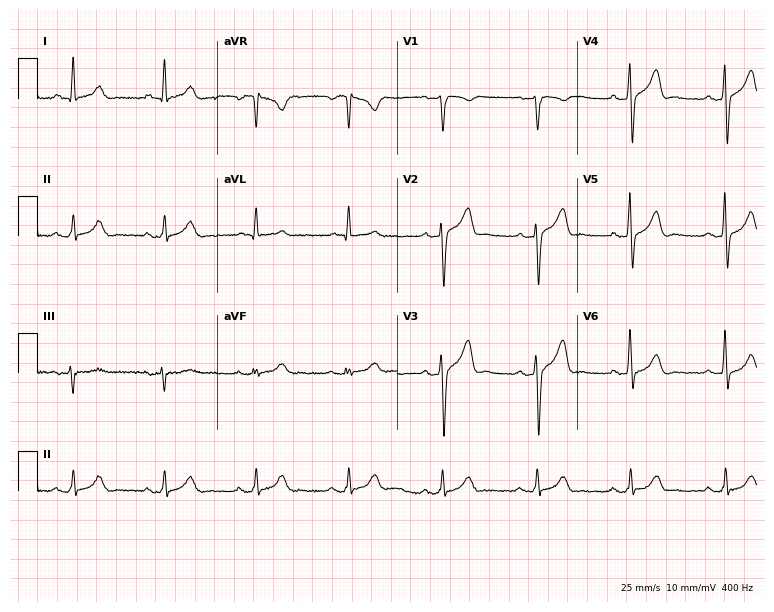
Electrocardiogram, a male, 60 years old. Overall reading on record: normal ECG.